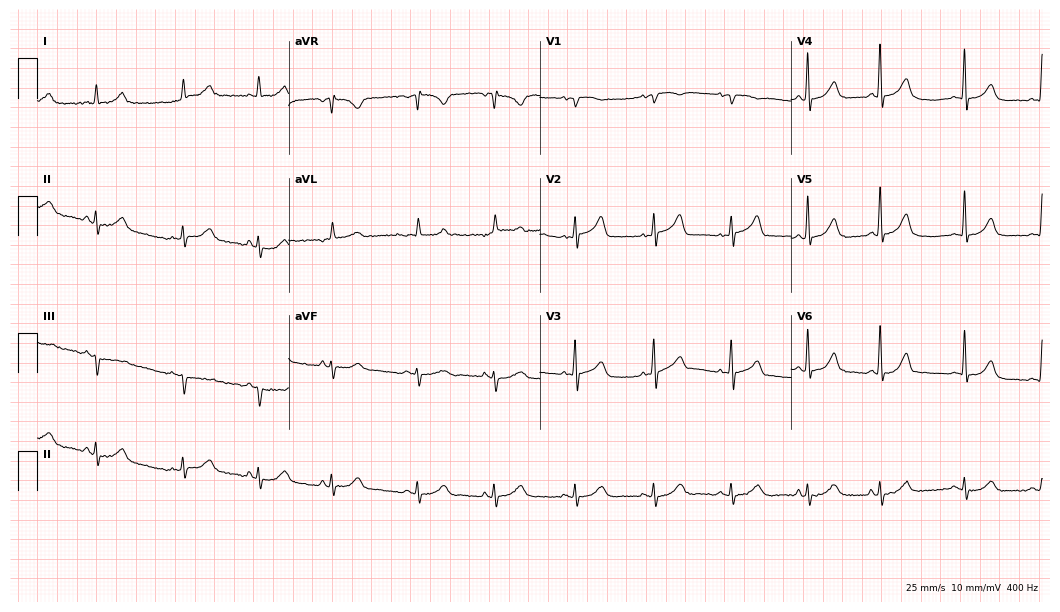
Resting 12-lead electrocardiogram. Patient: an 85-year-old female. Read as a normal ECG.